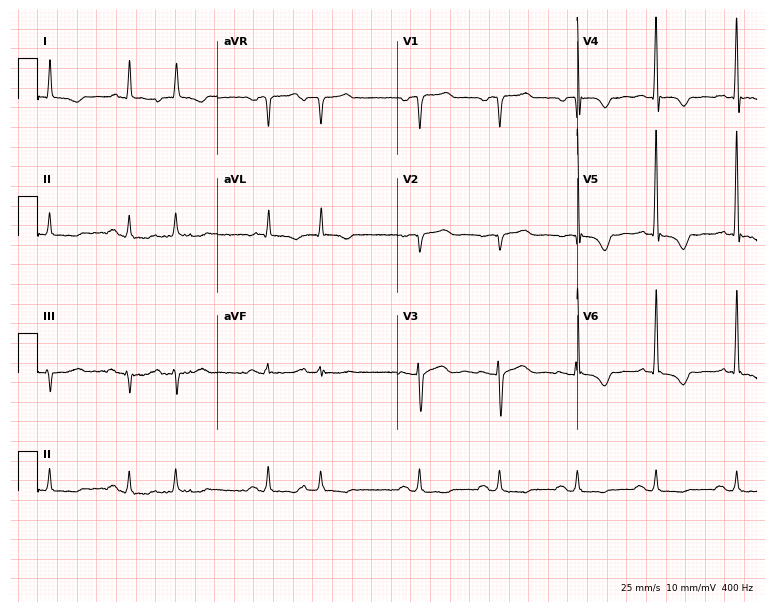
Resting 12-lead electrocardiogram. Patient: a male, 70 years old. None of these six findings is recorded: first-degree AV block, right bundle branch block, left bundle branch block, sinus bradycardia, atrial fibrillation, sinus tachycardia. Other findings, if any, are not listed.